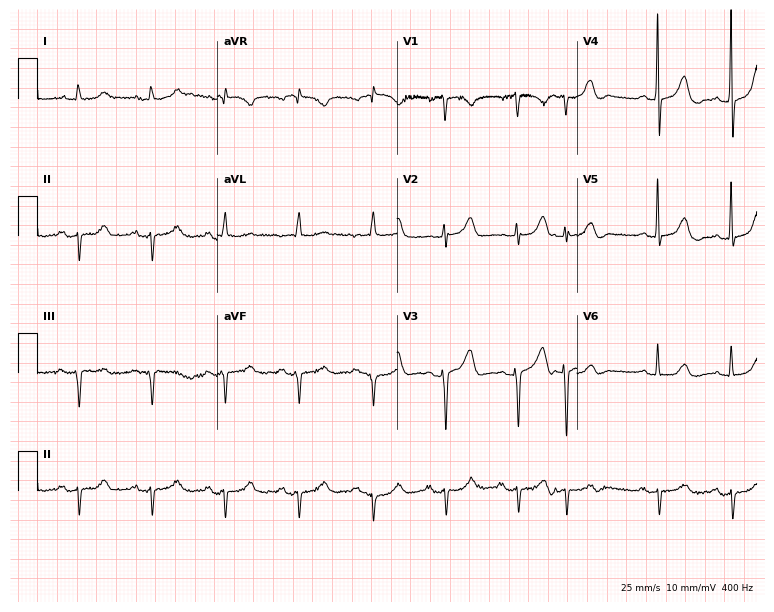
Electrocardiogram (7.3-second recording at 400 Hz), a woman, 82 years old. Of the six screened findings (first-degree AV block, right bundle branch block (RBBB), left bundle branch block (LBBB), sinus bradycardia, atrial fibrillation (AF), sinus tachycardia), none is recorded. Findings outside these six are not listed.